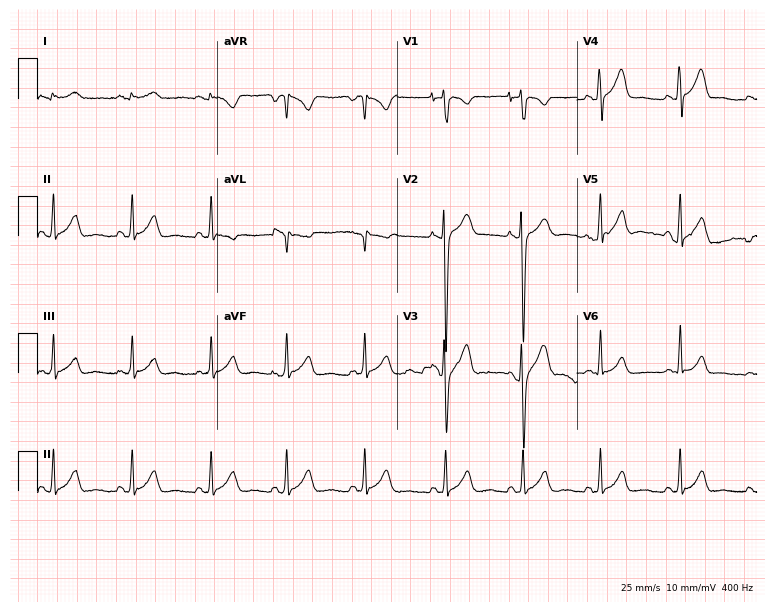
Resting 12-lead electrocardiogram (7.3-second recording at 400 Hz). Patient: a 26-year-old male. None of these six findings is recorded: first-degree AV block, right bundle branch block, left bundle branch block, sinus bradycardia, atrial fibrillation, sinus tachycardia.